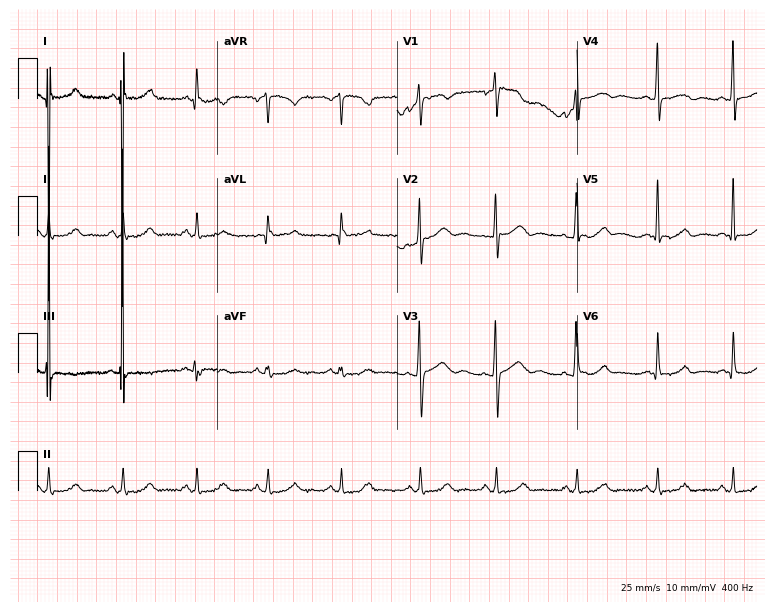
ECG (7.3-second recording at 400 Hz) — a female patient, 33 years old. Screened for six findings — first-degree AV block, right bundle branch block, left bundle branch block, sinus bradycardia, atrial fibrillation, sinus tachycardia — none is recorded.